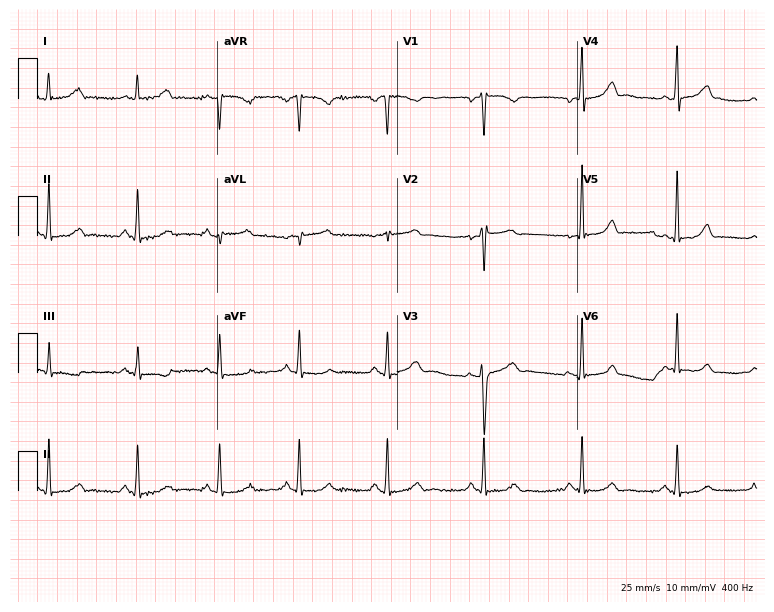
Electrocardiogram, a female patient, 37 years old. Of the six screened findings (first-degree AV block, right bundle branch block, left bundle branch block, sinus bradycardia, atrial fibrillation, sinus tachycardia), none is recorded. Only these six findings were labelled.